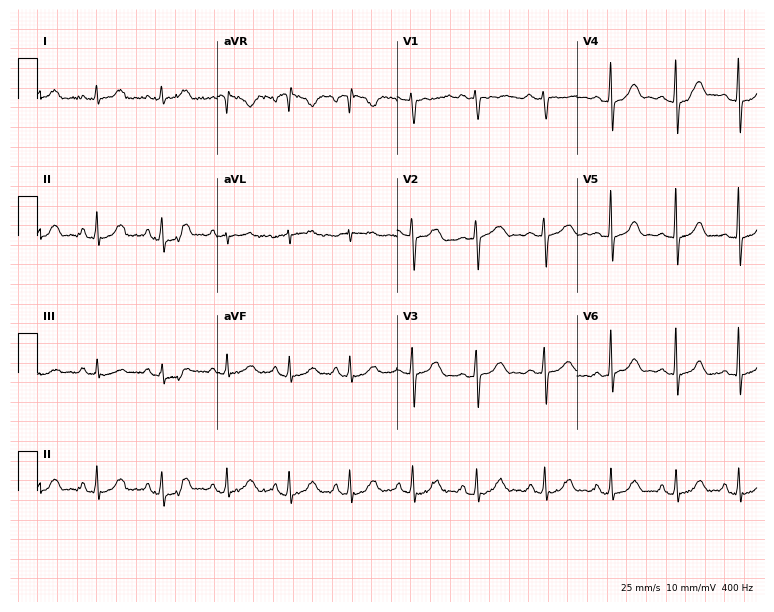
12-lead ECG from a woman, 21 years old (7.3-second recording at 400 Hz). Recorded interpretation: within normal limits.